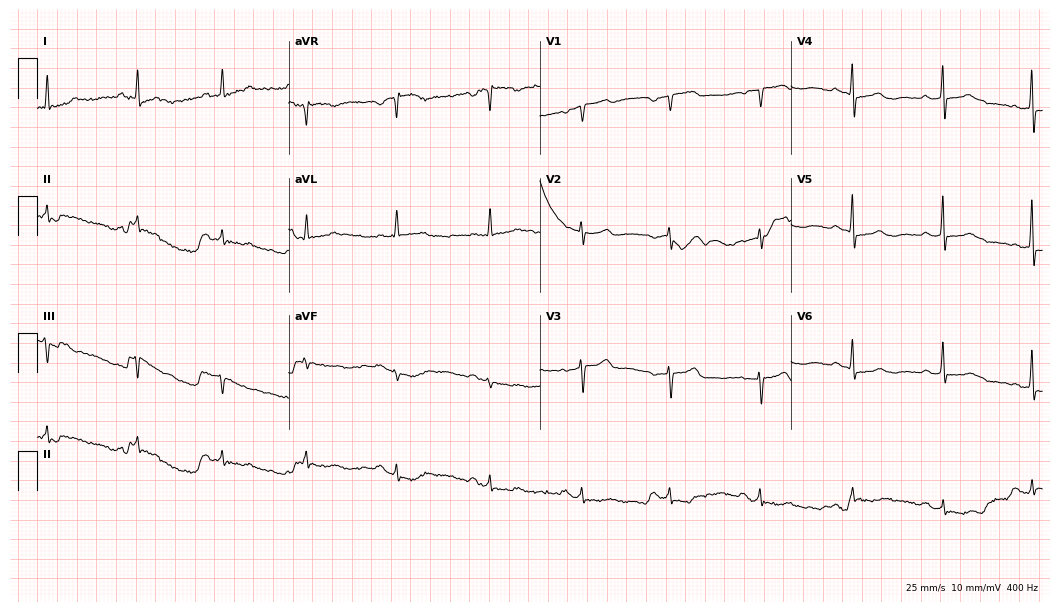
12-lead ECG from a 57-year-old woman (10.2-second recording at 400 Hz). Recorded interpretation: within normal limits.